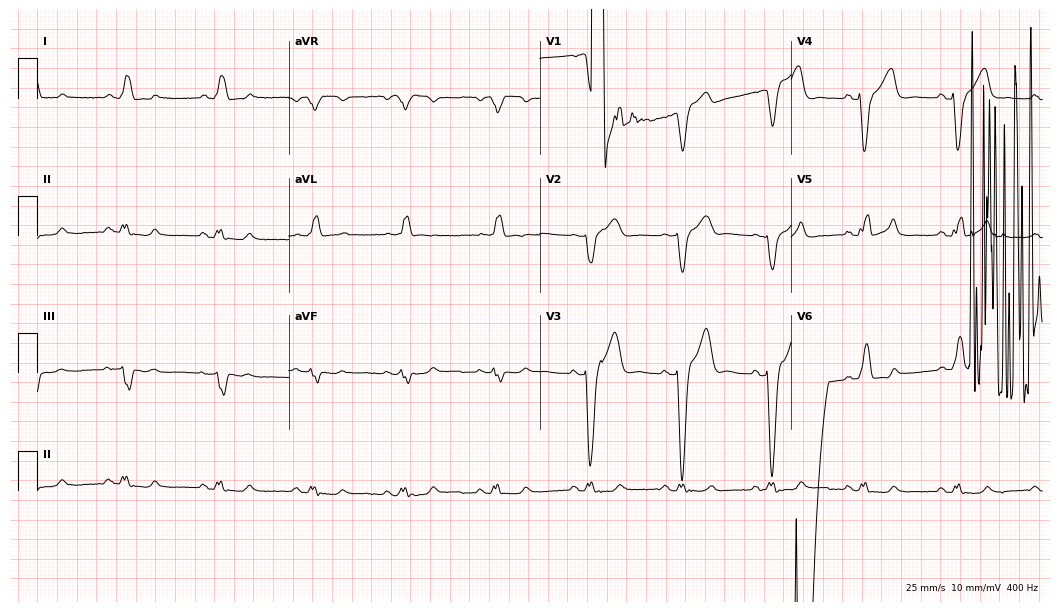
Standard 12-lead ECG recorded from a male patient, 78 years old (10.2-second recording at 400 Hz). None of these six findings is recorded: first-degree AV block, right bundle branch block, left bundle branch block, sinus bradycardia, atrial fibrillation, sinus tachycardia. Other findings, if any, are not listed.